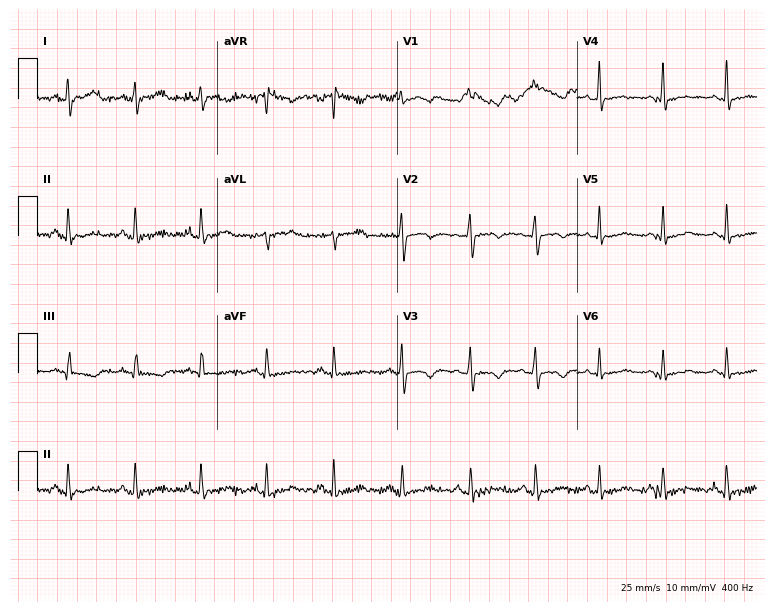
12-lead ECG from a woman, 30 years old. Screened for six findings — first-degree AV block, right bundle branch block, left bundle branch block, sinus bradycardia, atrial fibrillation, sinus tachycardia — none is recorded. Other findings, if any, are not listed.